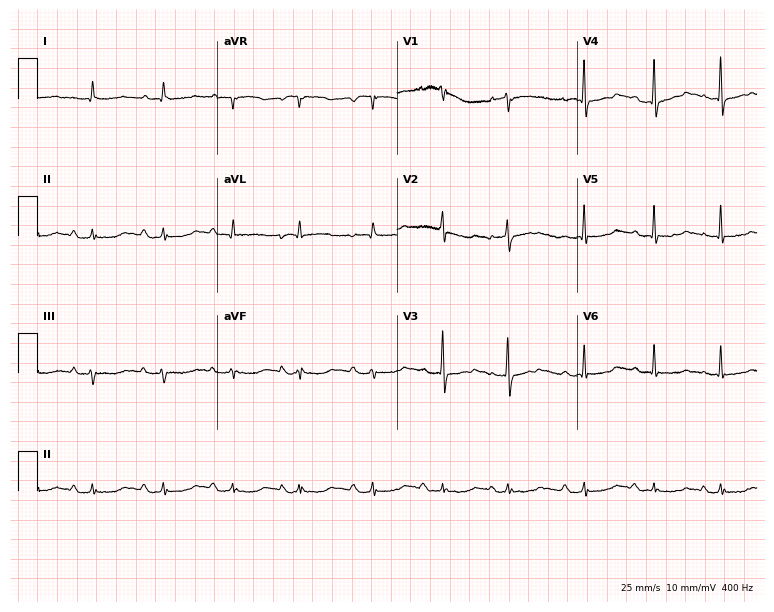
12-lead ECG from a female patient, 79 years old. No first-degree AV block, right bundle branch block (RBBB), left bundle branch block (LBBB), sinus bradycardia, atrial fibrillation (AF) or sinus tachycardia recorded for this tracing. Only these six findings were labelled.